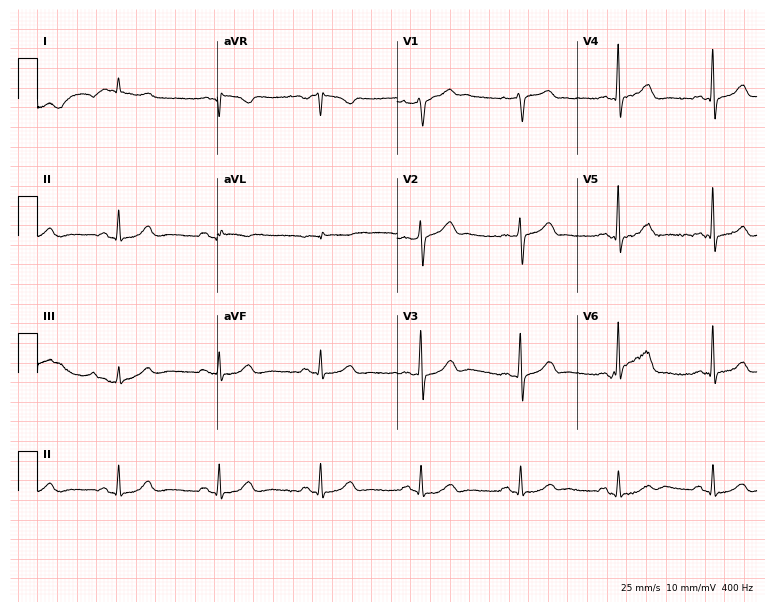
Resting 12-lead electrocardiogram. Patient: a man, 66 years old. Read as a normal ECG.